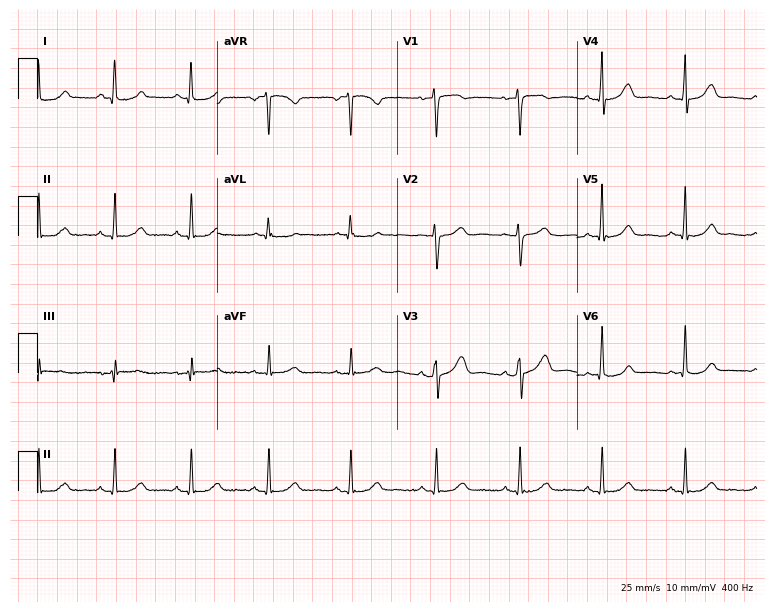
Electrocardiogram, a 39-year-old female patient. Of the six screened findings (first-degree AV block, right bundle branch block (RBBB), left bundle branch block (LBBB), sinus bradycardia, atrial fibrillation (AF), sinus tachycardia), none is recorded.